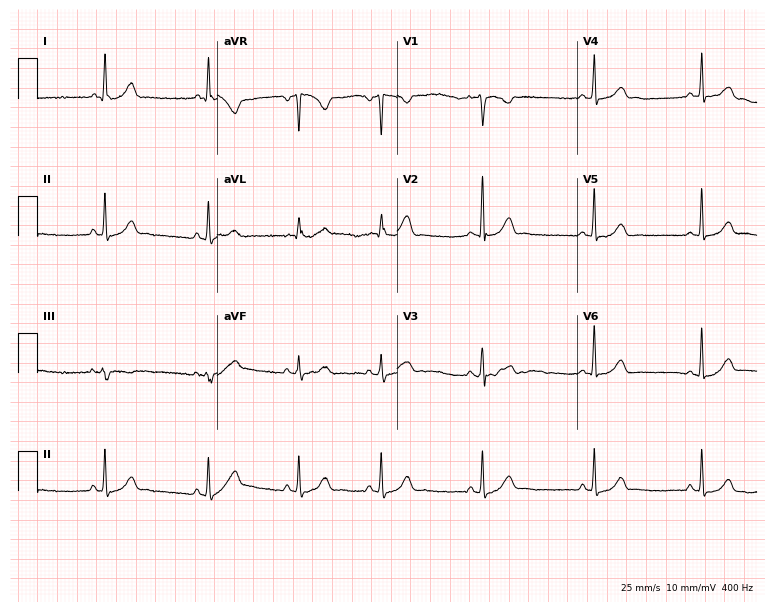
Resting 12-lead electrocardiogram (7.3-second recording at 400 Hz). Patient: a 37-year-old woman. None of these six findings is recorded: first-degree AV block, right bundle branch block (RBBB), left bundle branch block (LBBB), sinus bradycardia, atrial fibrillation (AF), sinus tachycardia. Findings outside these six are not listed.